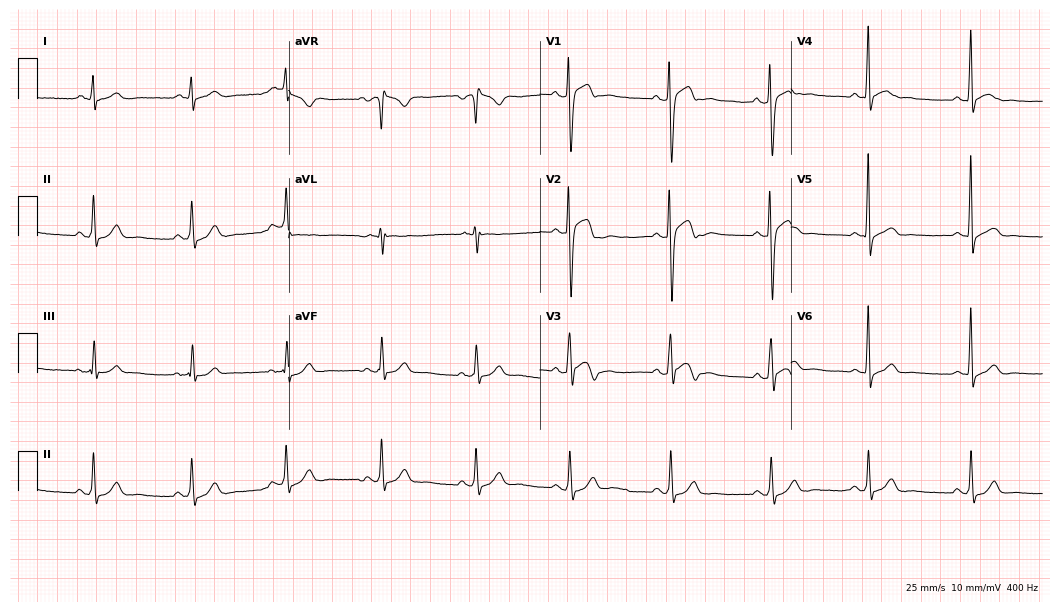
Electrocardiogram (10.2-second recording at 400 Hz), a male patient, 25 years old. Of the six screened findings (first-degree AV block, right bundle branch block (RBBB), left bundle branch block (LBBB), sinus bradycardia, atrial fibrillation (AF), sinus tachycardia), none is recorded. Other findings, if any, are not listed.